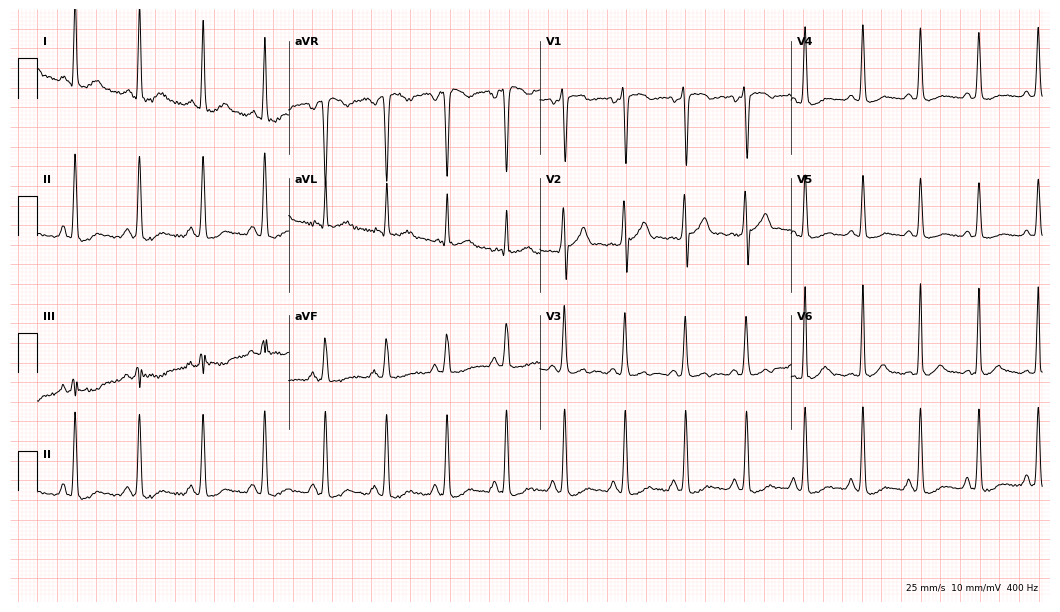
Resting 12-lead electrocardiogram (10.2-second recording at 400 Hz). Patient: a 30-year-old female. Read as a normal ECG.